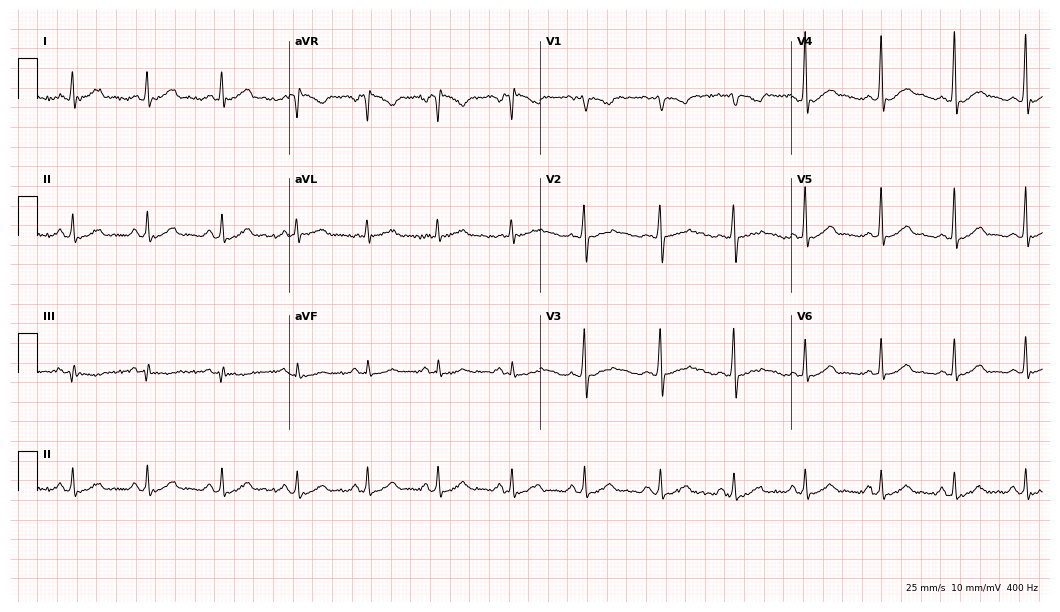
12-lead ECG (10.2-second recording at 400 Hz) from a female, 30 years old. Labelled as a normal ECG.